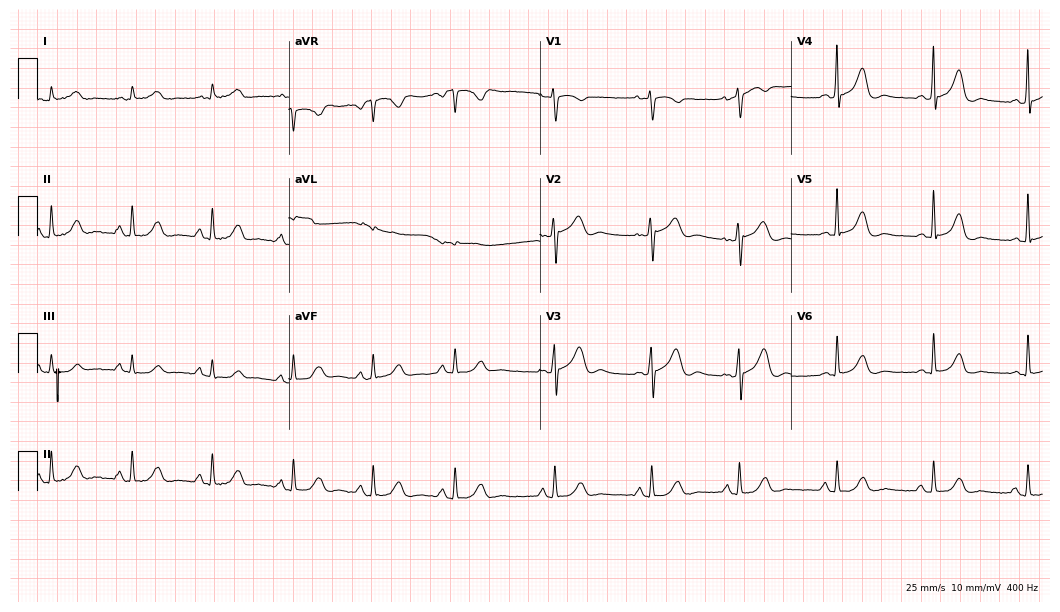
Electrocardiogram, a woman, 59 years old. Overall reading on record: normal ECG.